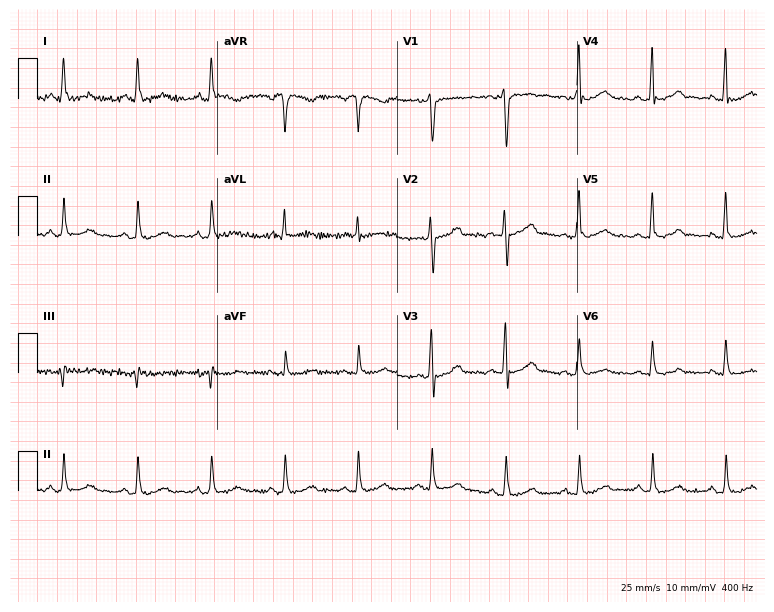
Standard 12-lead ECG recorded from a 55-year-old female (7.3-second recording at 400 Hz). None of these six findings is recorded: first-degree AV block, right bundle branch block, left bundle branch block, sinus bradycardia, atrial fibrillation, sinus tachycardia.